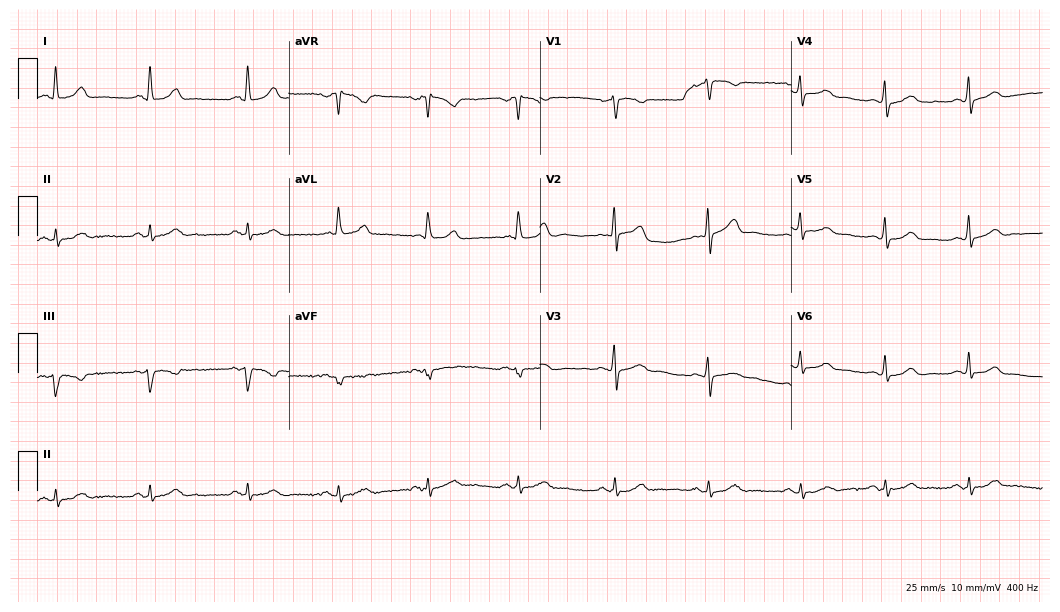
12-lead ECG from a 55-year-old female. Labelled as a normal ECG.